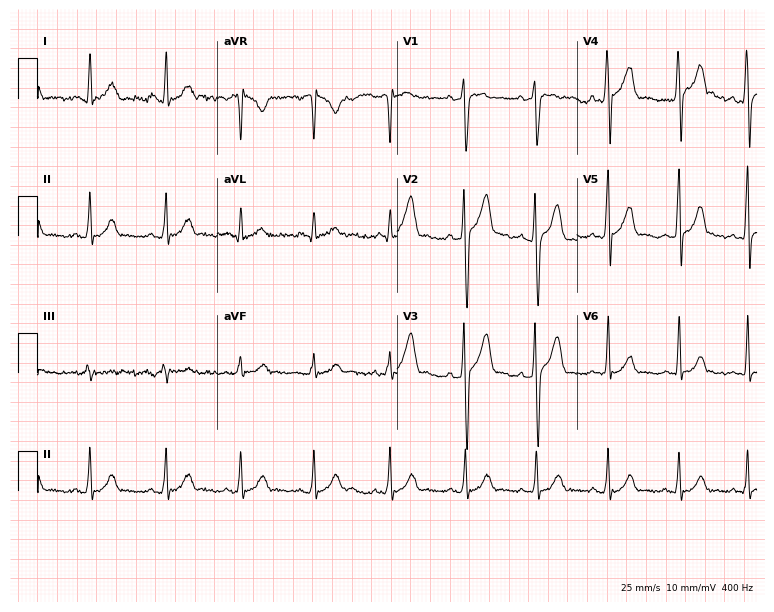
12-lead ECG (7.3-second recording at 400 Hz) from a man, 21 years old. Labelled as a normal ECG.